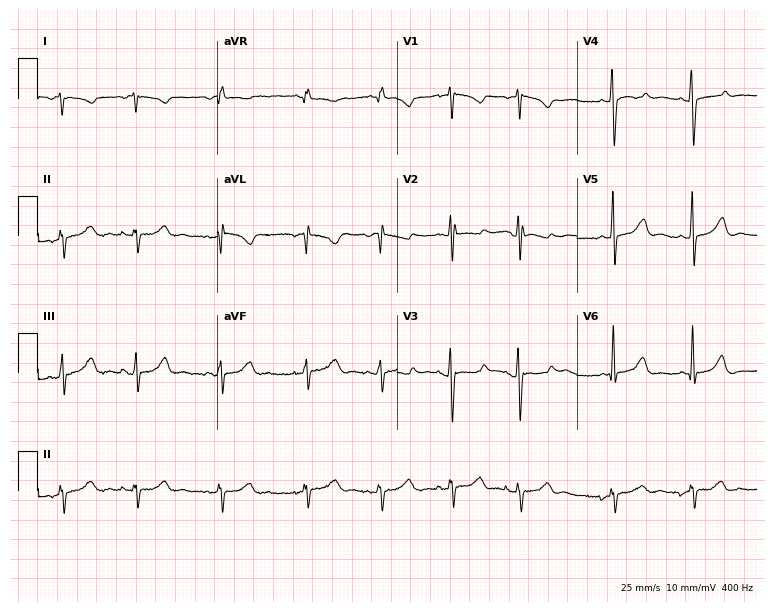
Standard 12-lead ECG recorded from a female patient, 18 years old. None of these six findings is recorded: first-degree AV block, right bundle branch block, left bundle branch block, sinus bradycardia, atrial fibrillation, sinus tachycardia.